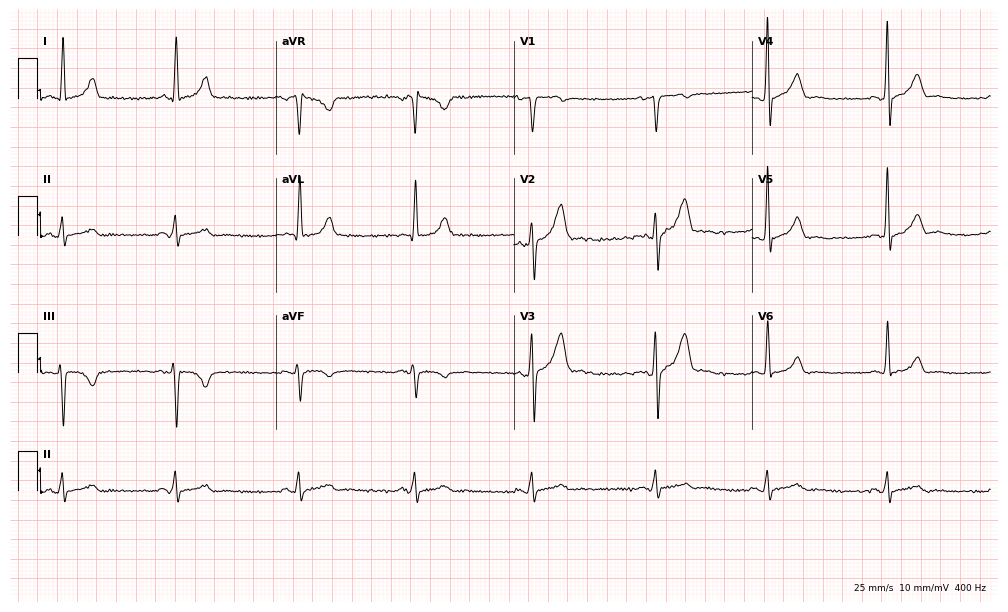
12-lead ECG from a male patient, 32 years old (9.7-second recording at 400 Hz). No first-degree AV block, right bundle branch block (RBBB), left bundle branch block (LBBB), sinus bradycardia, atrial fibrillation (AF) or sinus tachycardia recorded for this tracing.